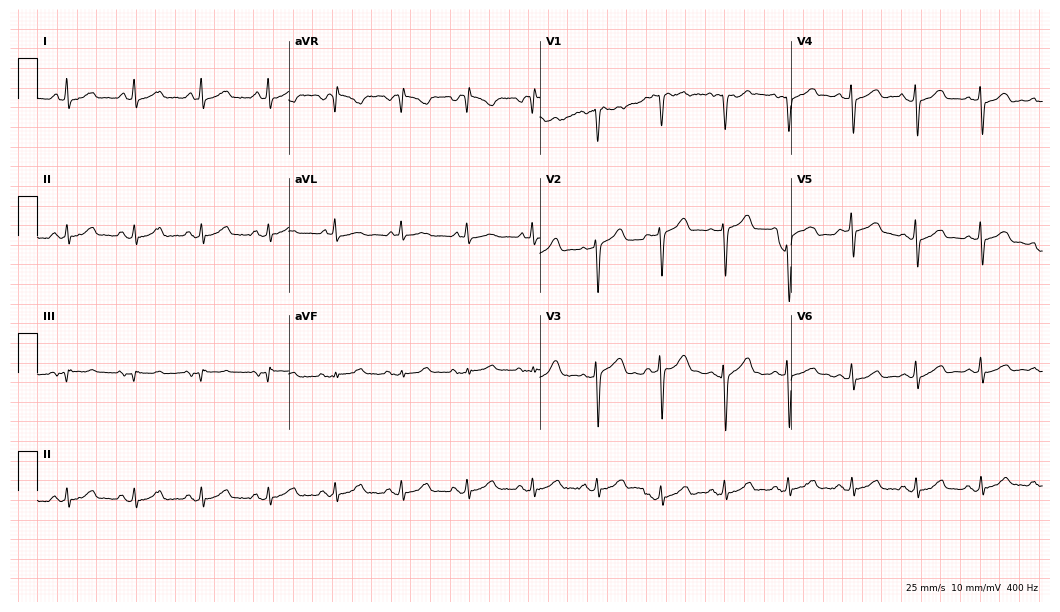
Resting 12-lead electrocardiogram (10.2-second recording at 400 Hz). Patient: a 62-year-old female. None of these six findings is recorded: first-degree AV block, right bundle branch block, left bundle branch block, sinus bradycardia, atrial fibrillation, sinus tachycardia. Other findings, if any, are not listed.